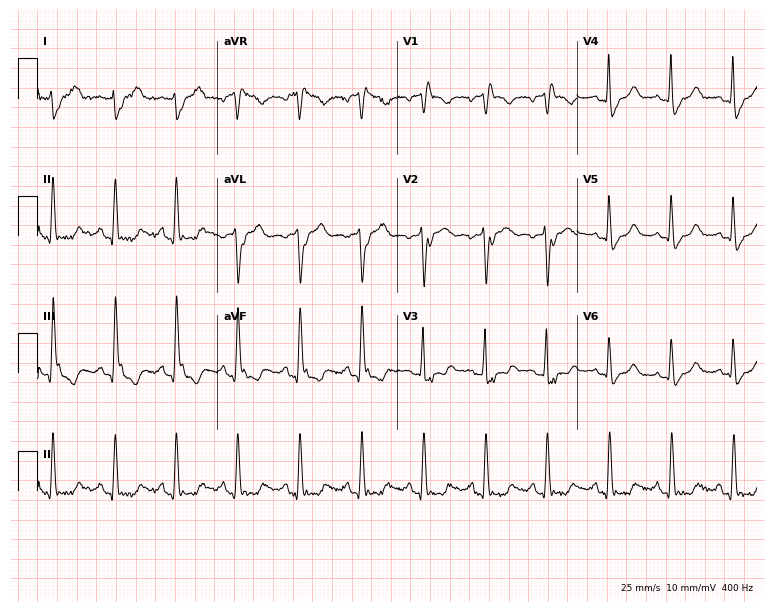
ECG (7.3-second recording at 400 Hz) — a 75-year-old male patient. Findings include right bundle branch block.